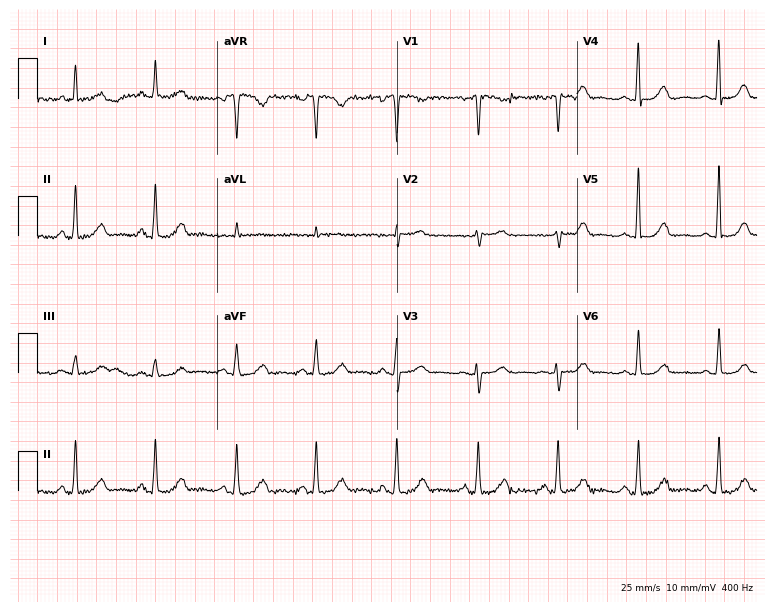
Standard 12-lead ECG recorded from a 55-year-old female patient (7.3-second recording at 400 Hz). Read as a normal ECG.